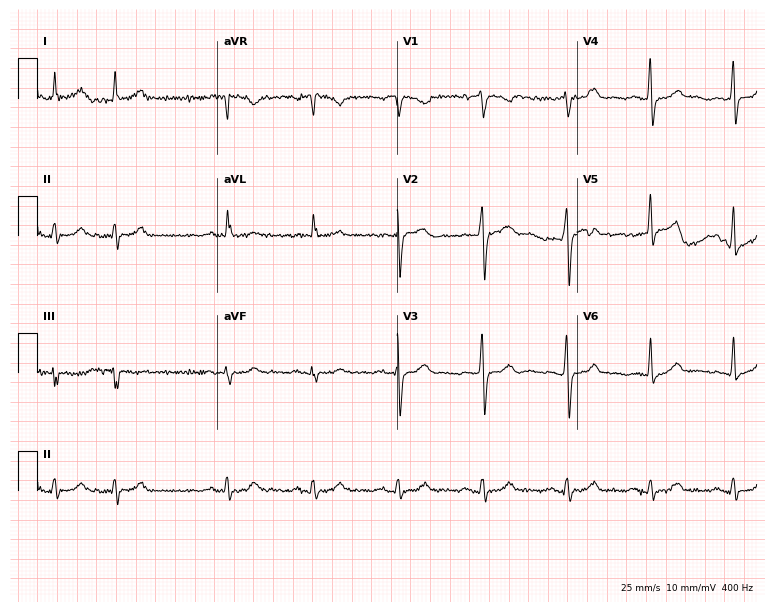
12-lead ECG from a 60-year-old male. Screened for six findings — first-degree AV block, right bundle branch block, left bundle branch block, sinus bradycardia, atrial fibrillation, sinus tachycardia — none is recorded.